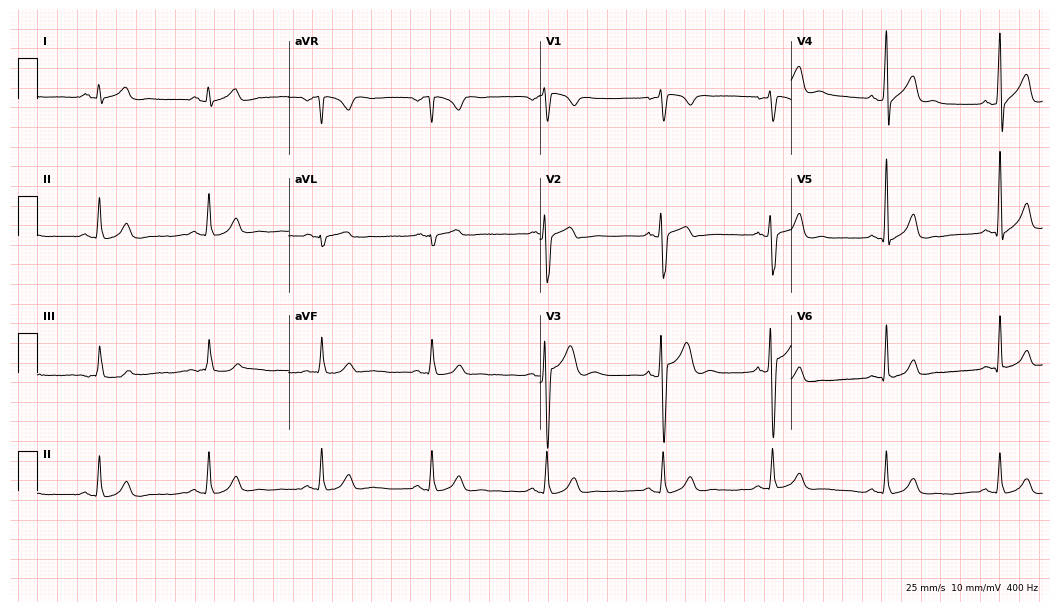
12-lead ECG (10.2-second recording at 400 Hz) from a male patient, 20 years old. Labelled as a normal ECG.